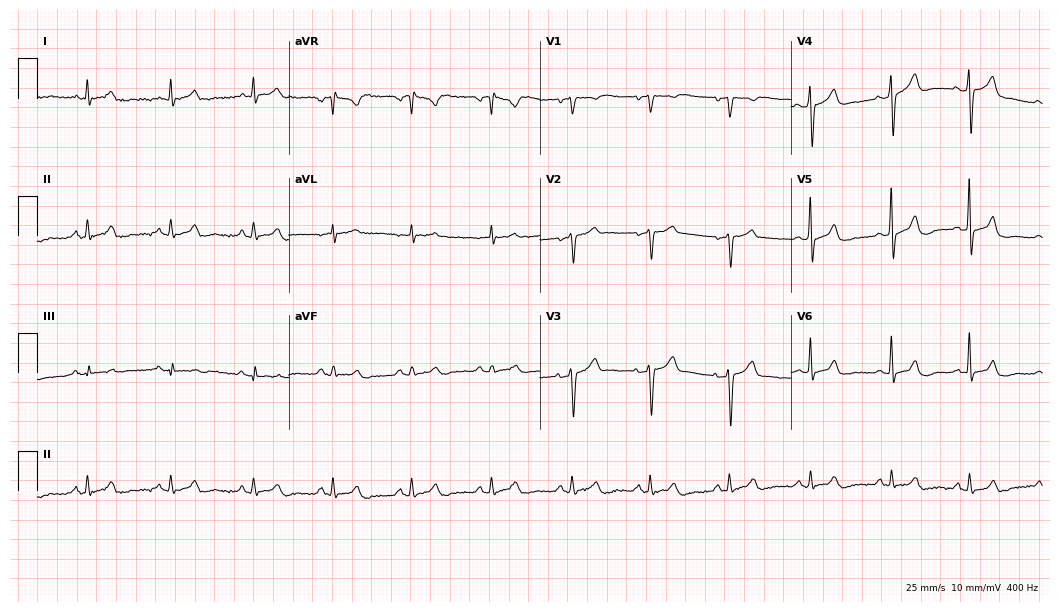
Resting 12-lead electrocardiogram (10.2-second recording at 400 Hz). Patient: a 51-year-old female. None of these six findings is recorded: first-degree AV block, right bundle branch block, left bundle branch block, sinus bradycardia, atrial fibrillation, sinus tachycardia. Findings outside these six are not listed.